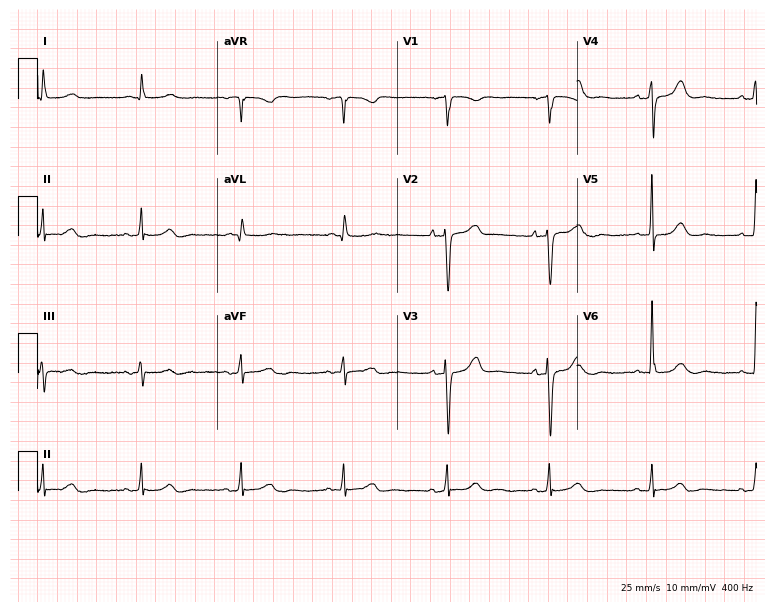
Electrocardiogram, a woman, 81 years old. Overall reading on record: normal ECG.